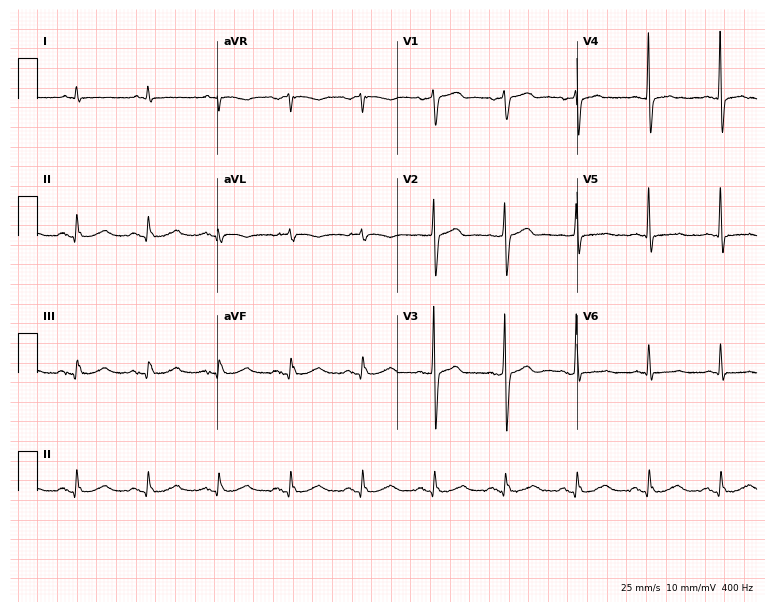
Electrocardiogram, a male, 69 years old. Of the six screened findings (first-degree AV block, right bundle branch block (RBBB), left bundle branch block (LBBB), sinus bradycardia, atrial fibrillation (AF), sinus tachycardia), none is recorded. Other findings, if any, are not listed.